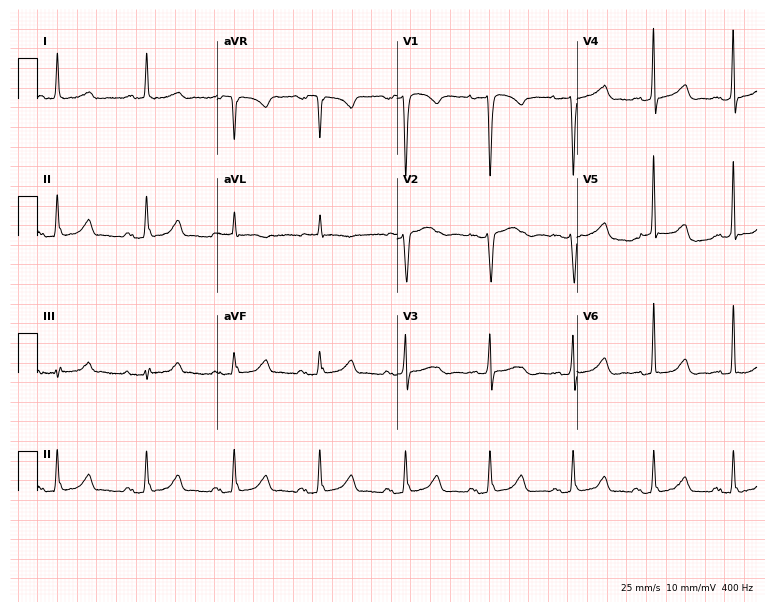
ECG — a woman, 52 years old. Screened for six findings — first-degree AV block, right bundle branch block, left bundle branch block, sinus bradycardia, atrial fibrillation, sinus tachycardia — none is recorded.